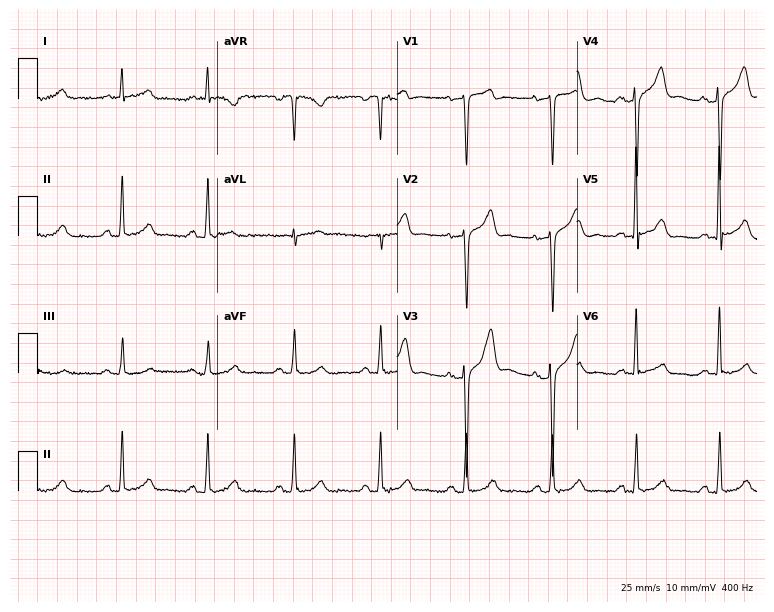
Standard 12-lead ECG recorded from a male, 68 years old. Read as a normal ECG.